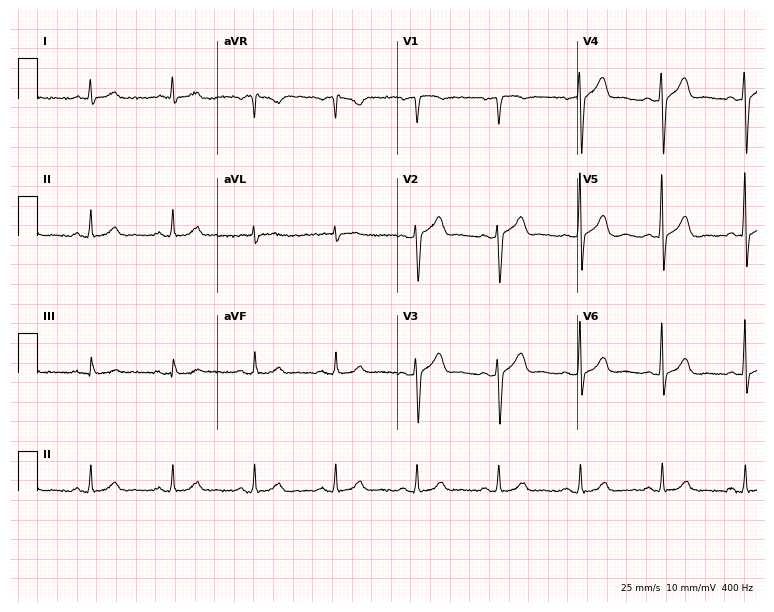
Electrocardiogram (7.3-second recording at 400 Hz), a man, 64 years old. Overall reading on record: normal ECG.